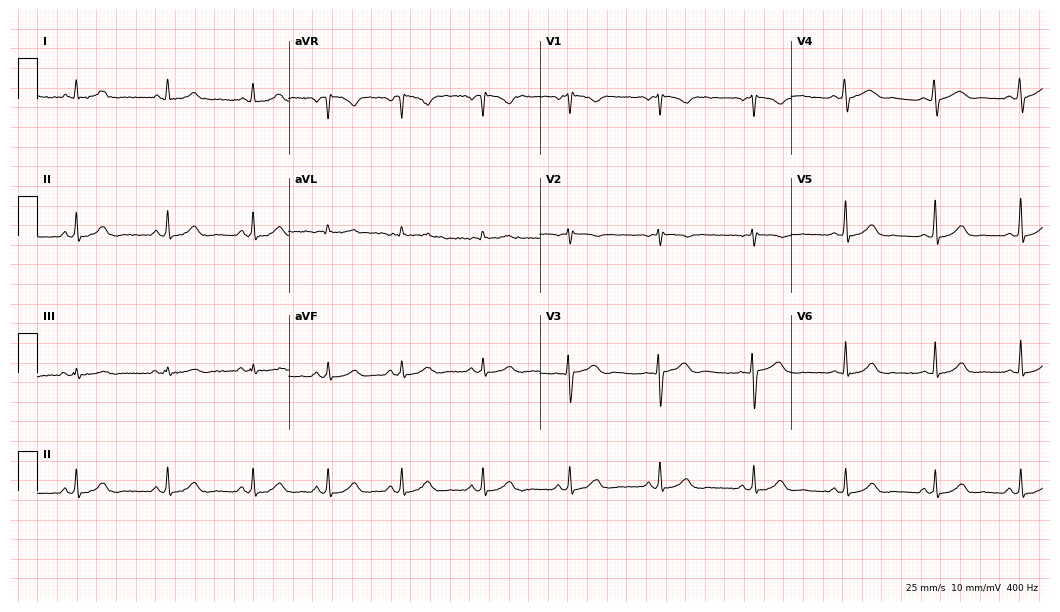
Electrocardiogram, a 41-year-old woman. Overall reading on record: normal ECG.